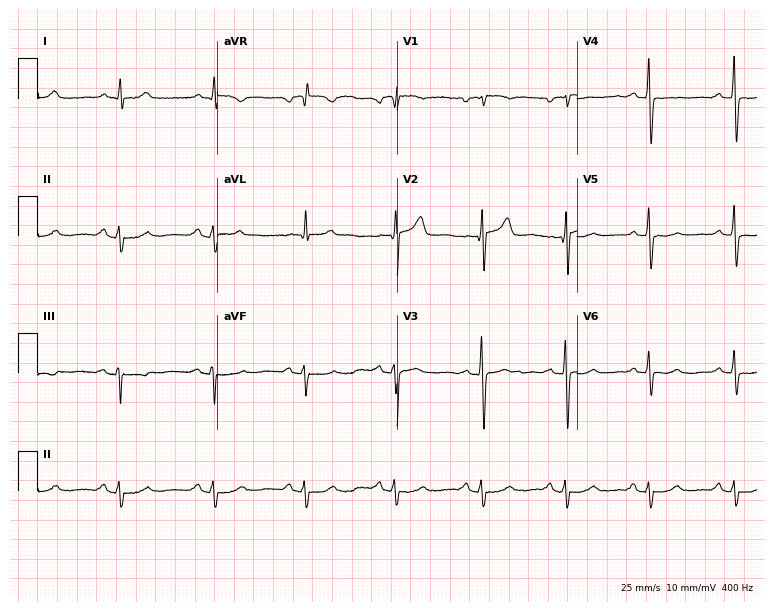
12-lead ECG (7.3-second recording at 400 Hz) from a 70-year-old male. Screened for six findings — first-degree AV block, right bundle branch block, left bundle branch block, sinus bradycardia, atrial fibrillation, sinus tachycardia — none is recorded.